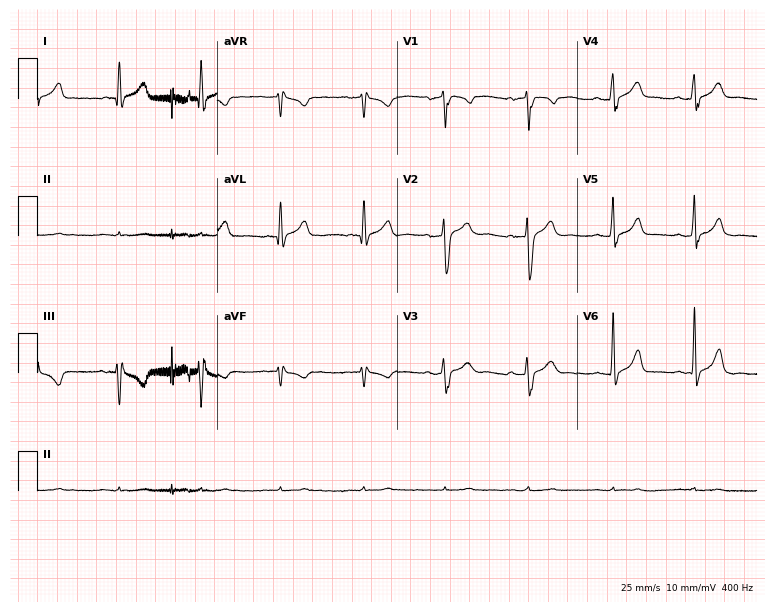
12-lead ECG from a 51-year-old man (7.3-second recording at 400 Hz). No first-degree AV block, right bundle branch block, left bundle branch block, sinus bradycardia, atrial fibrillation or sinus tachycardia recorded for this tracing.